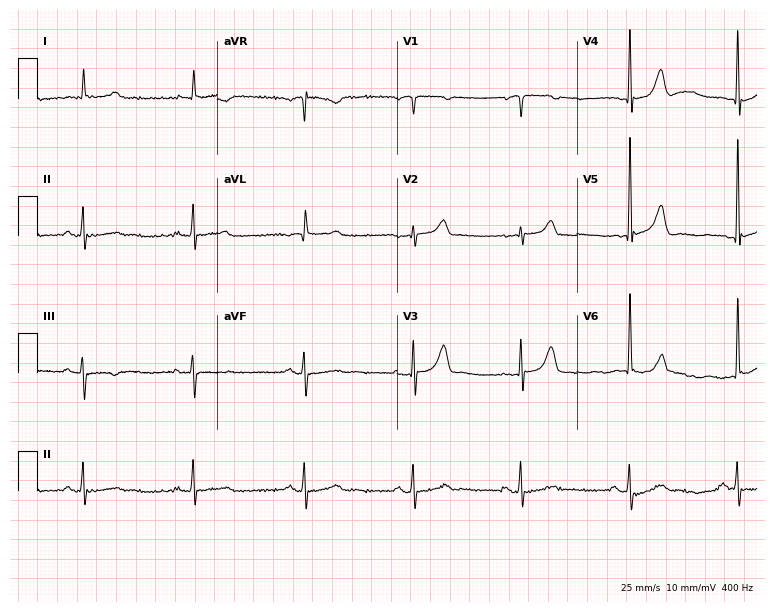
Electrocardiogram, a male patient, 76 years old. Overall reading on record: normal ECG.